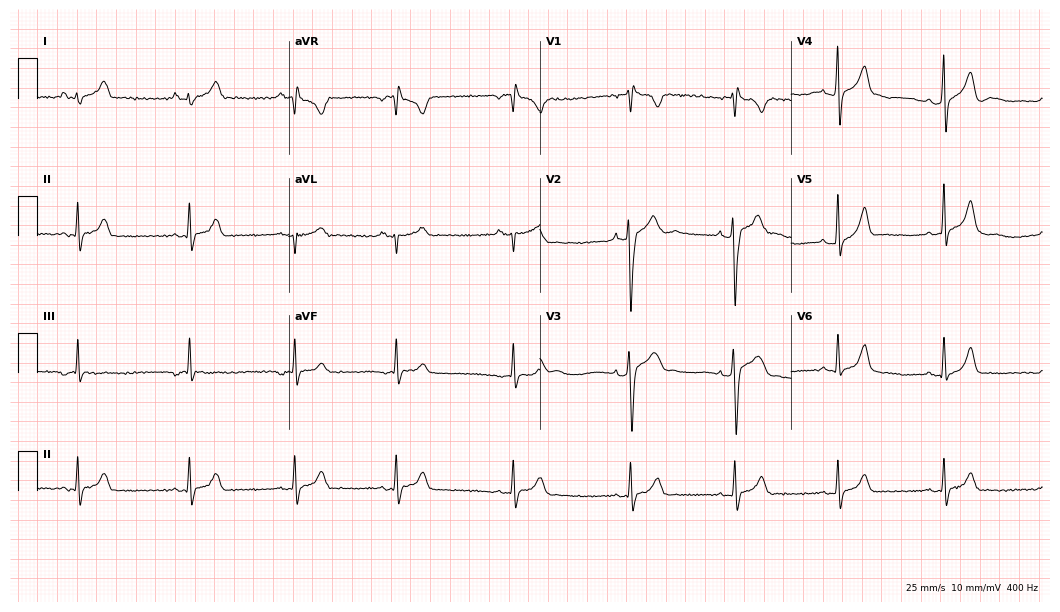
12-lead ECG from a 25-year-old man (10.2-second recording at 400 Hz). No first-degree AV block, right bundle branch block, left bundle branch block, sinus bradycardia, atrial fibrillation or sinus tachycardia recorded for this tracing.